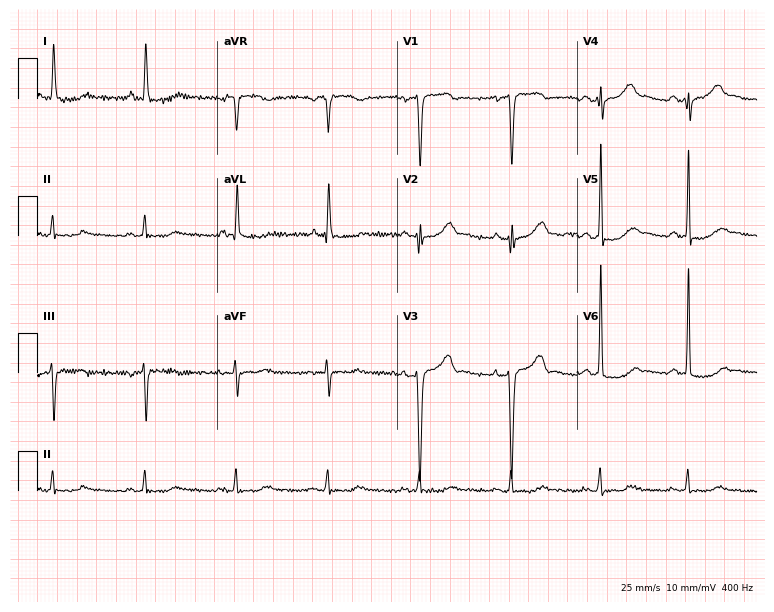
Electrocardiogram (7.3-second recording at 400 Hz), a 67-year-old woman. Of the six screened findings (first-degree AV block, right bundle branch block (RBBB), left bundle branch block (LBBB), sinus bradycardia, atrial fibrillation (AF), sinus tachycardia), none is recorded. Only these six findings were labelled.